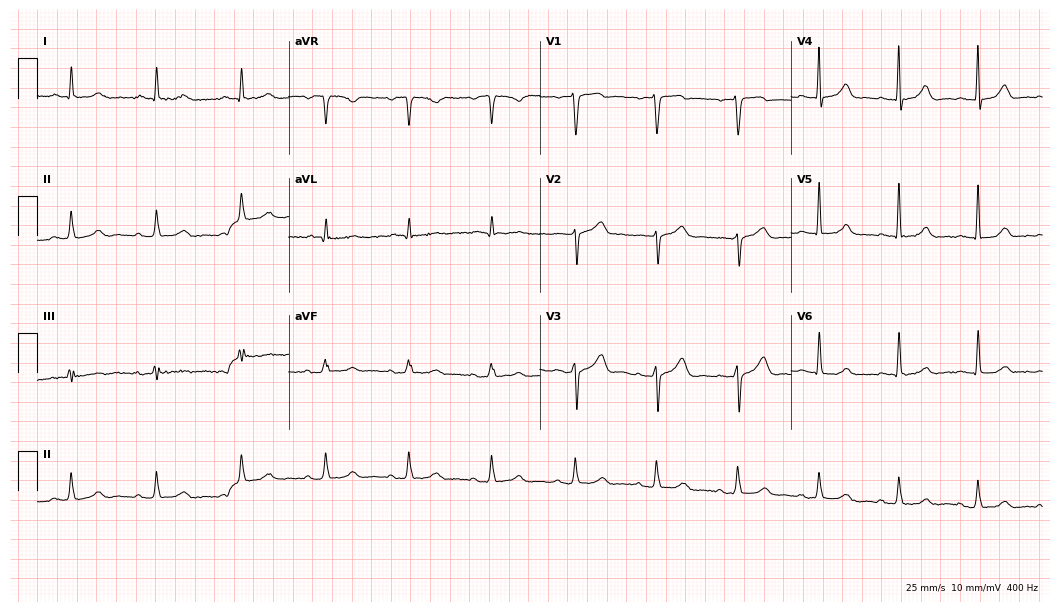
Standard 12-lead ECG recorded from a male, 79 years old (10.2-second recording at 400 Hz). None of these six findings is recorded: first-degree AV block, right bundle branch block, left bundle branch block, sinus bradycardia, atrial fibrillation, sinus tachycardia. Findings outside these six are not listed.